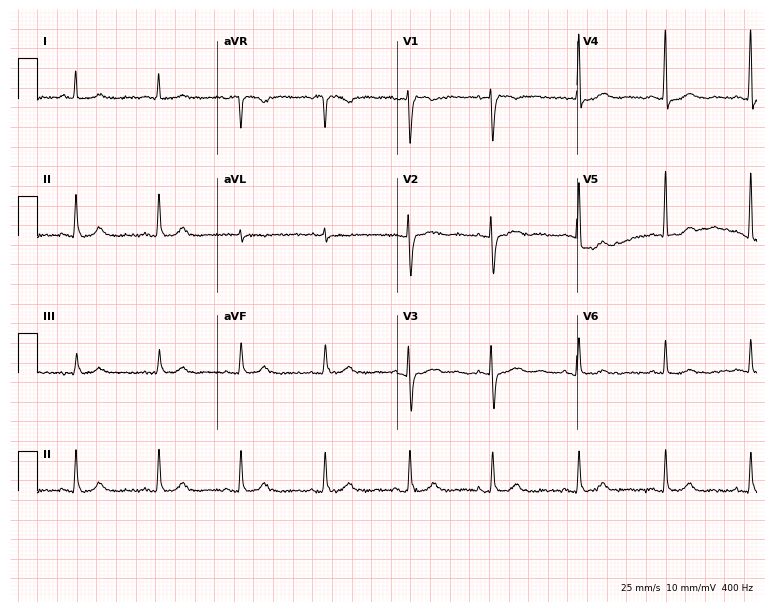
ECG — a woman, 51 years old. Screened for six findings — first-degree AV block, right bundle branch block, left bundle branch block, sinus bradycardia, atrial fibrillation, sinus tachycardia — none is recorded. Only these six findings were labelled.